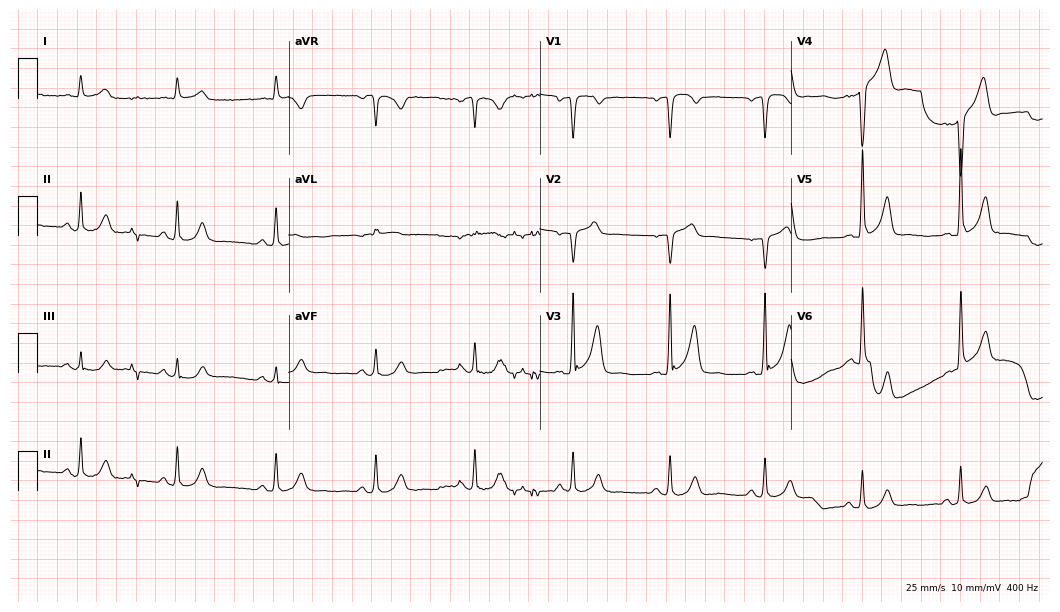
Standard 12-lead ECG recorded from a 73-year-old male (10.2-second recording at 400 Hz). None of these six findings is recorded: first-degree AV block, right bundle branch block (RBBB), left bundle branch block (LBBB), sinus bradycardia, atrial fibrillation (AF), sinus tachycardia. Other findings, if any, are not listed.